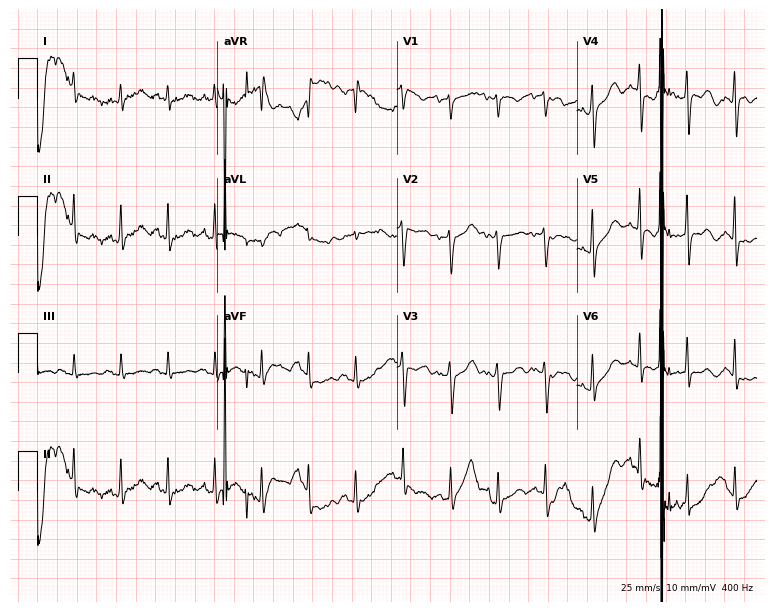
12-lead ECG from a man, 60 years old. Findings include sinus tachycardia (a sinus rate of 100 beats per minute or more).